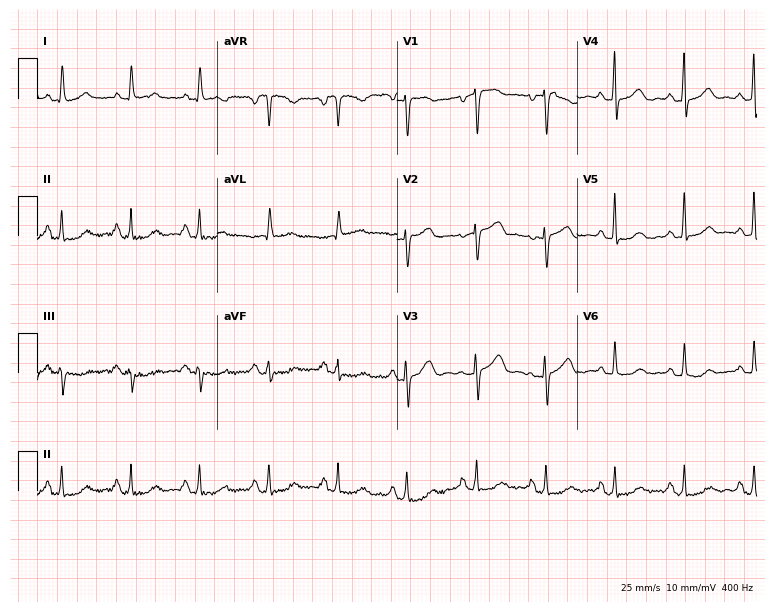
ECG (7.3-second recording at 400 Hz) — a female, 56 years old. Screened for six findings — first-degree AV block, right bundle branch block (RBBB), left bundle branch block (LBBB), sinus bradycardia, atrial fibrillation (AF), sinus tachycardia — none is recorded.